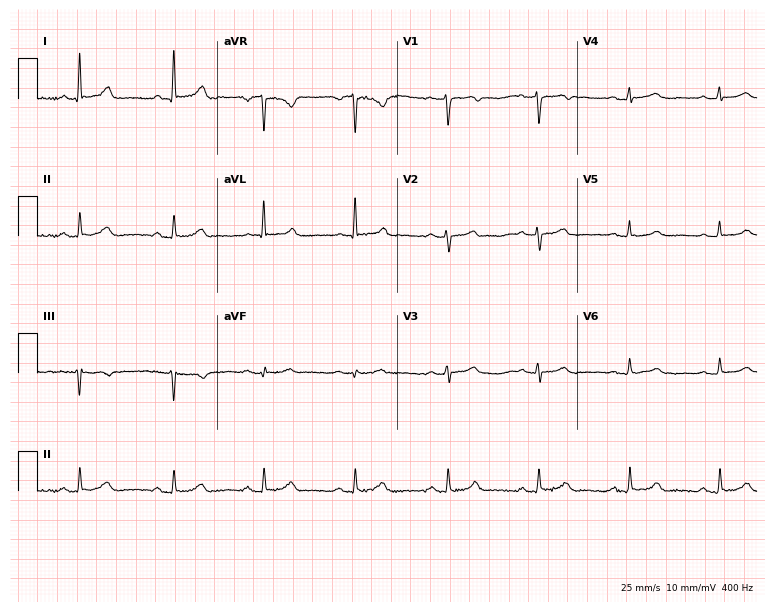
12-lead ECG from a 53-year-old female patient (7.3-second recording at 400 Hz). Recorded interpretation: within normal limits.